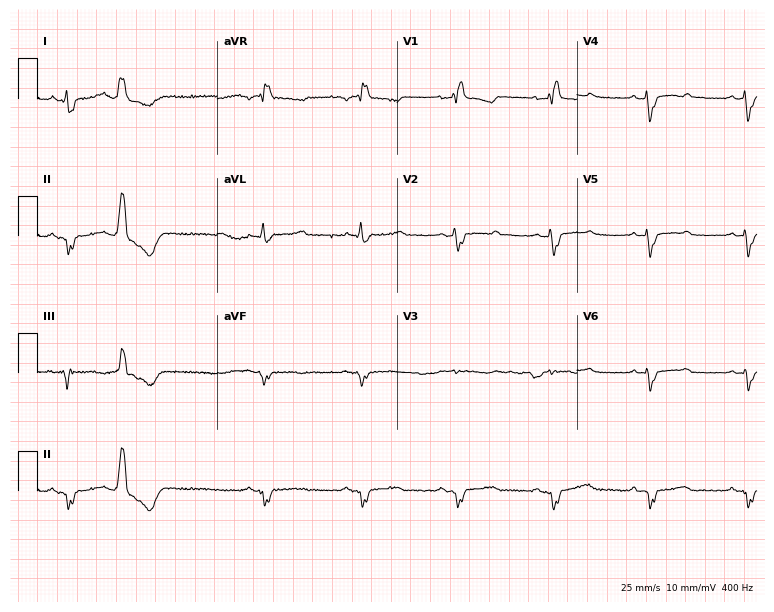
12-lead ECG (7.3-second recording at 400 Hz) from a woman, 44 years old. Findings include right bundle branch block, sinus bradycardia (a sinus rate of 50 beats per minute or less).